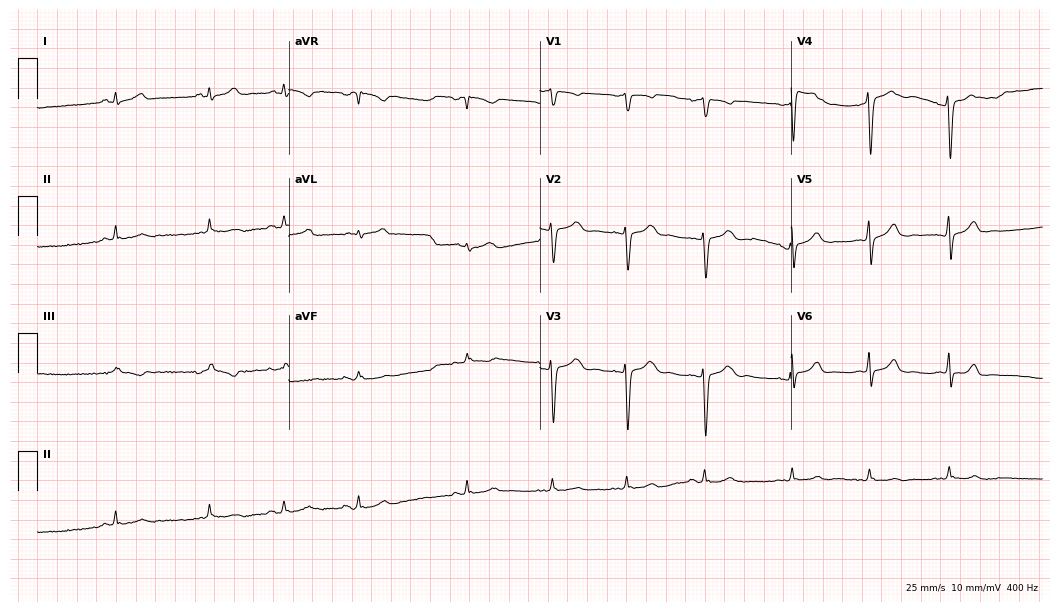
12-lead ECG (10.2-second recording at 400 Hz) from a woman, 20 years old. Screened for six findings — first-degree AV block, right bundle branch block (RBBB), left bundle branch block (LBBB), sinus bradycardia, atrial fibrillation (AF), sinus tachycardia — none is recorded.